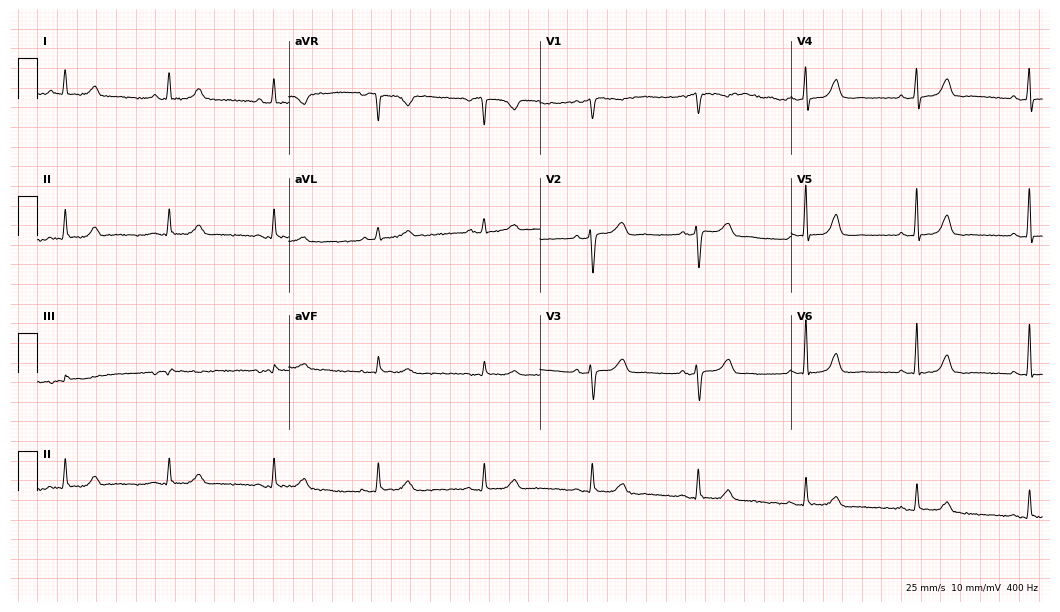
Electrocardiogram (10.2-second recording at 400 Hz), a 74-year-old female. Overall reading on record: normal ECG.